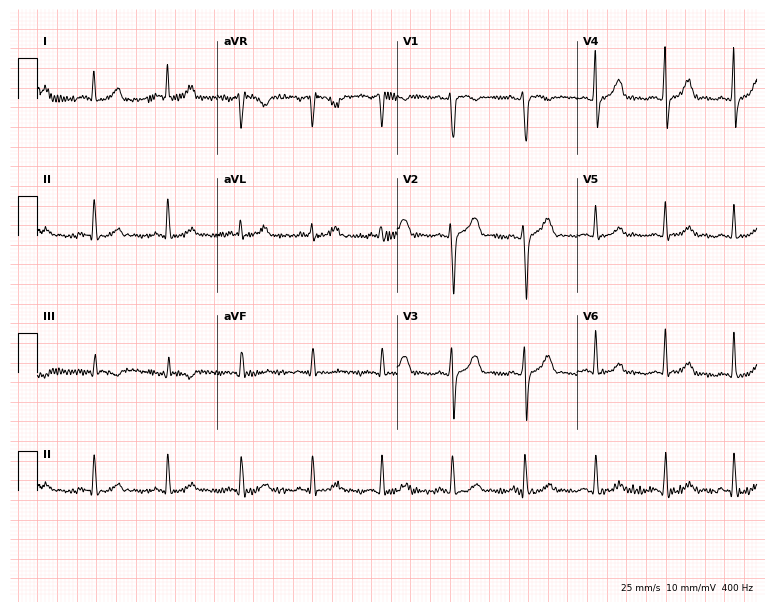
Resting 12-lead electrocardiogram (7.3-second recording at 400 Hz). Patient: a 30-year-old female. Read as a normal ECG.